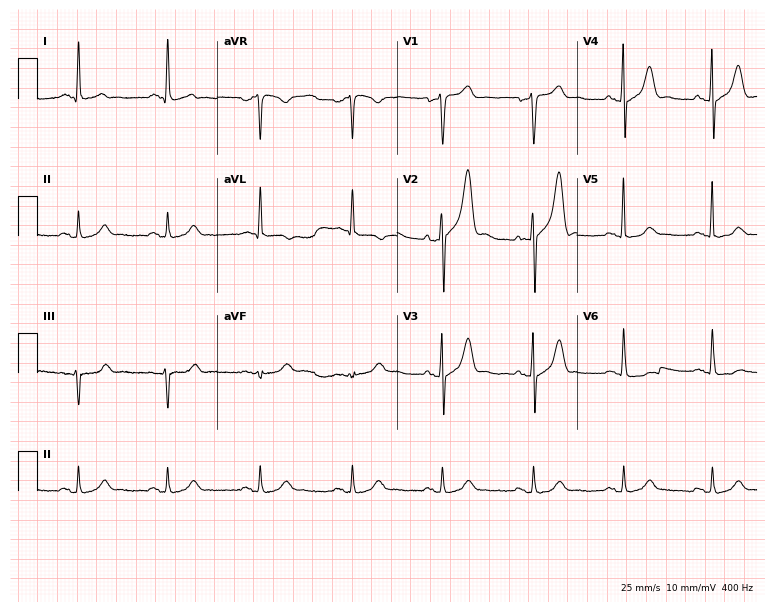
12-lead ECG from a man, 80 years old. Screened for six findings — first-degree AV block, right bundle branch block (RBBB), left bundle branch block (LBBB), sinus bradycardia, atrial fibrillation (AF), sinus tachycardia — none is recorded.